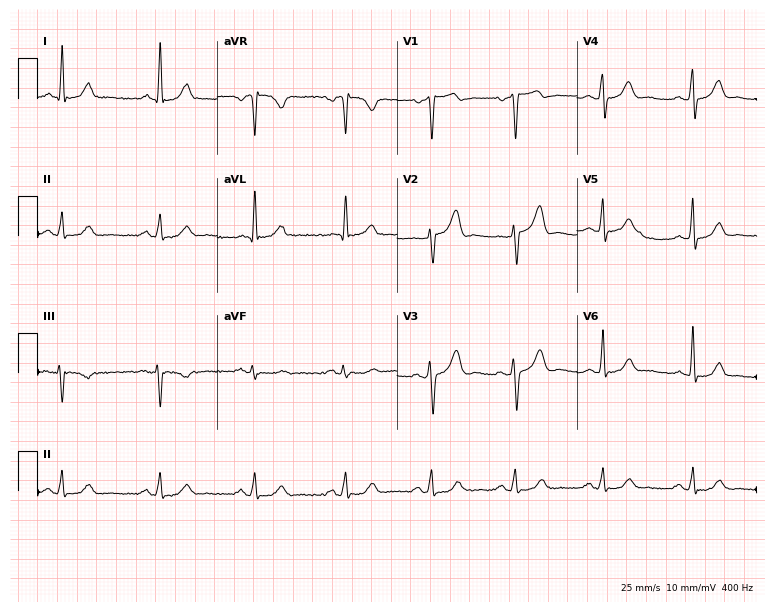
ECG — a 62-year-old man. Screened for six findings — first-degree AV block, right bundle branch block, left bundle branch block, sinus bradycardia, atrial fibrillation, sinus tachycardia — none is recorded.